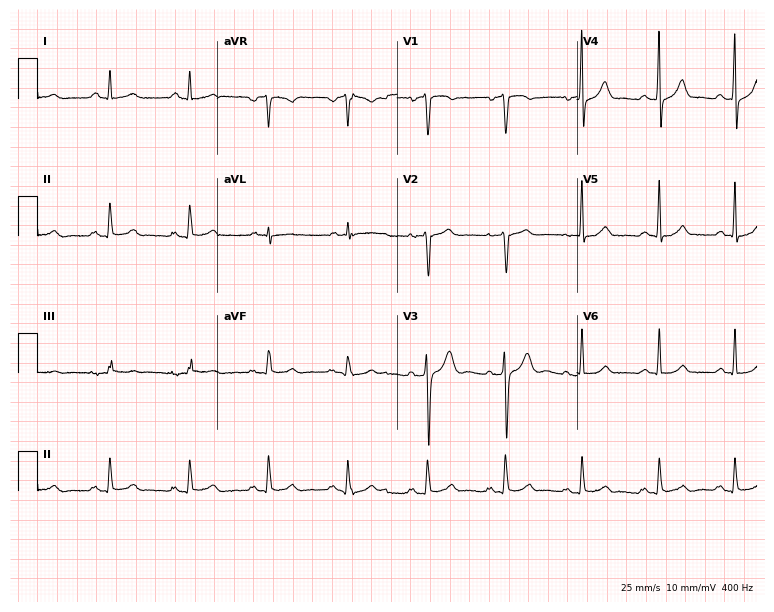
Electrocardiogram (7.3-second recording at 400 Hz), a 63-year-old male patient. Of the six screened findings (first-degree AV block, right bundle branch block (RBBB), left bundle branch block (LBBB), sinus bradycardia, atrial fibrillation (AF), sinus tachycardia), none is recorded. Only these six findings were labelled.